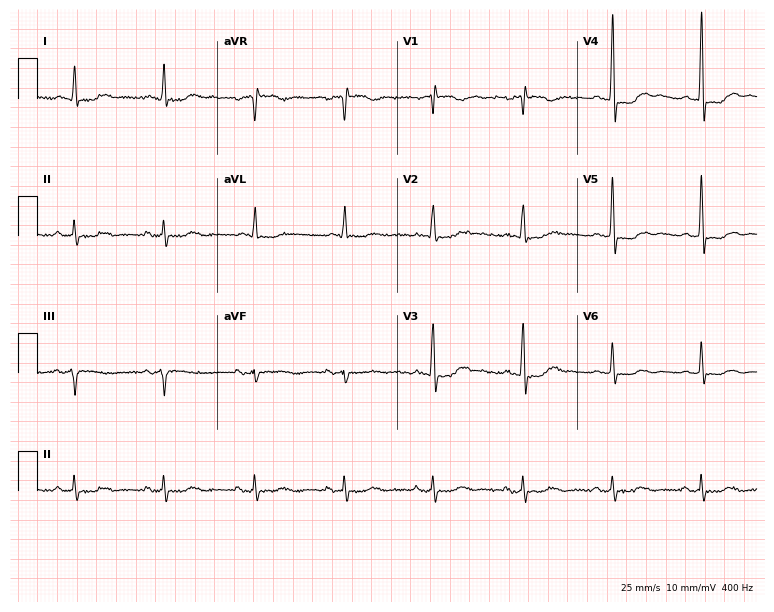
Electrocardiogram, a woman, 74 years old. Of the six screened findings (first-degree AV block, right bundle branch block, left bundle branch block, sinus bradycardia, atrial fibrillation, sinus tachycardia), none is recorded.